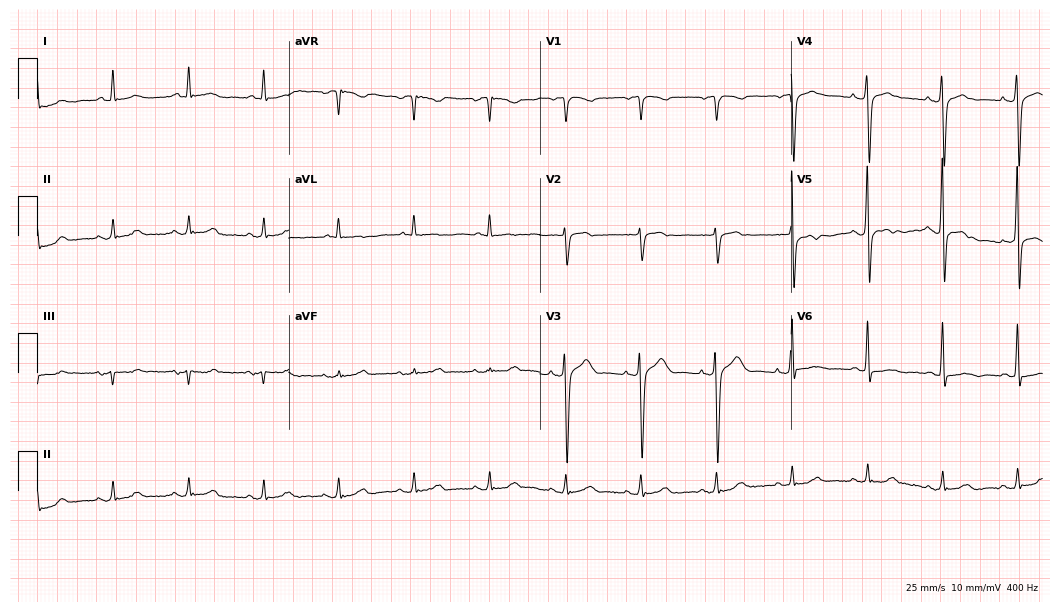
12-lead ECG (10.2-second recording at 400 Hz) from a 45-year-old male patient. Labelled as a normal ECG.